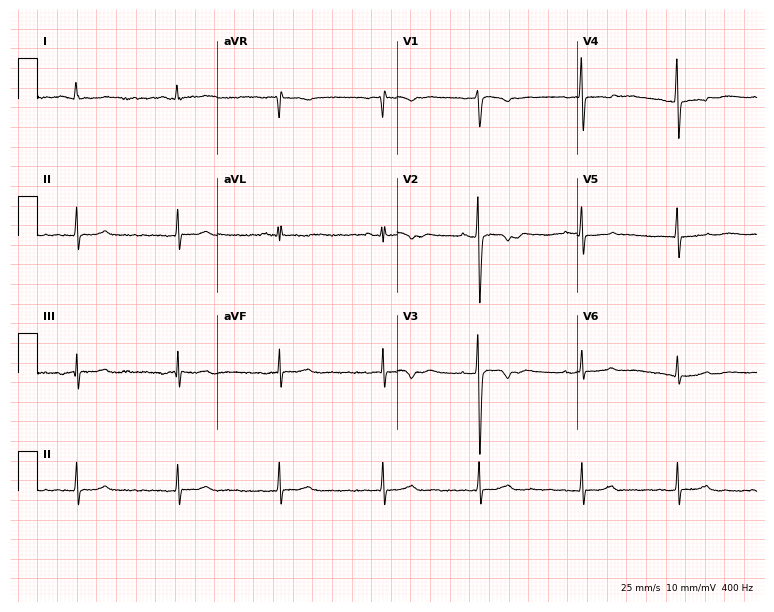
12-lead ECG from a female, 22 years old. Screened for six findings — first-degree AV block, right bundle branch block, left bundle branch block, sinus bradycardia, atrial fibrillation, sinus tachycardia — none is recorded.